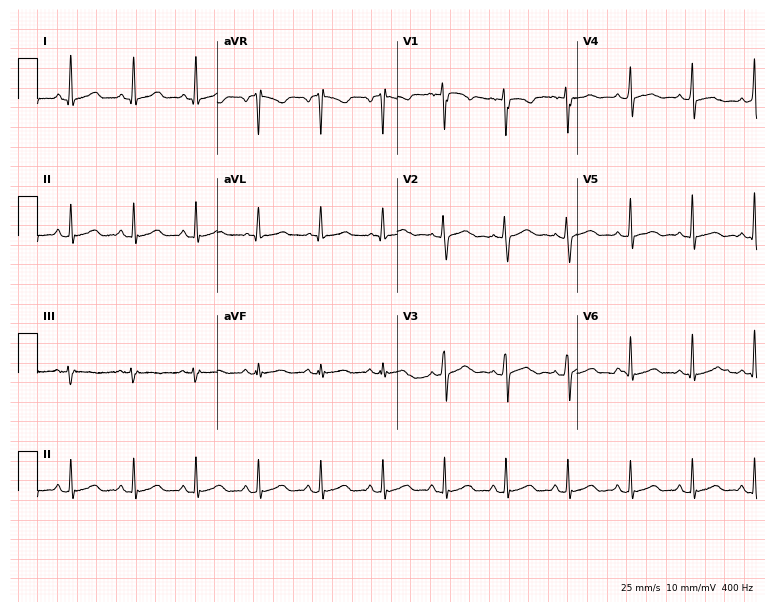
Resting 12-lead electrocardiogram (7.3-second recording at 400 Hz). Patient: a female, 27 years old. None of these six findings is recorded: first-degree AV block, right bundle branch block, left bundle branch block, sinus bradycardia, atrial fibrillation, sinus tachycardia. Only these six findings were labelled.